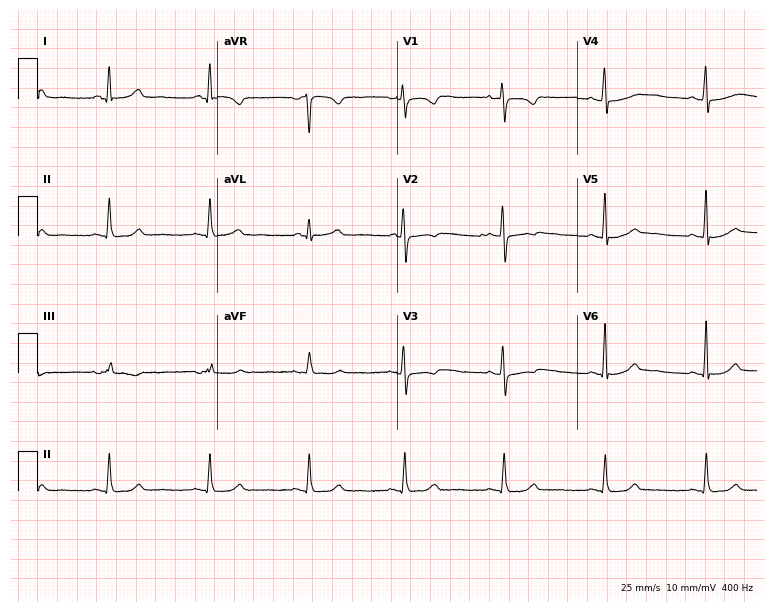
12-lead ECG from a 61-year-old female patient. Recorded interpretation: within normal limits.